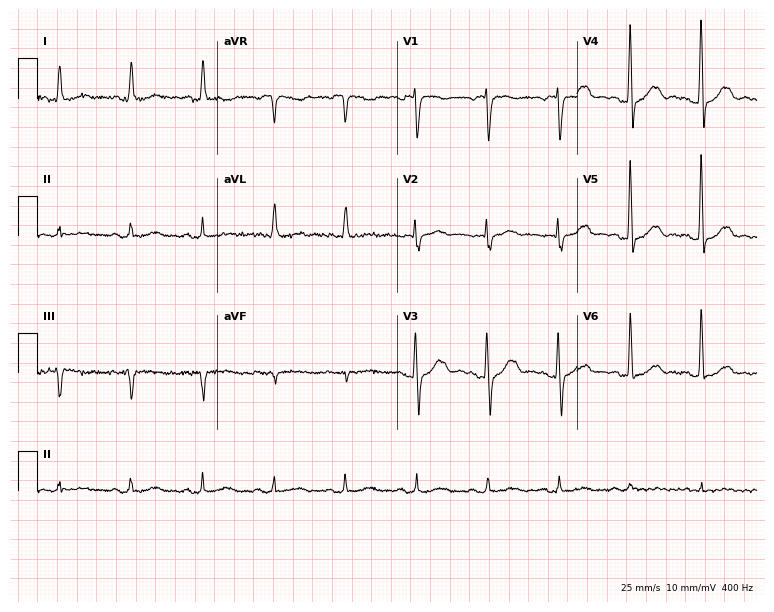
Resting 12-lead electrocardiogram (7.3-second recording at 400 Hz). Patient: an 83-year-old female. Read as a normal ECG.